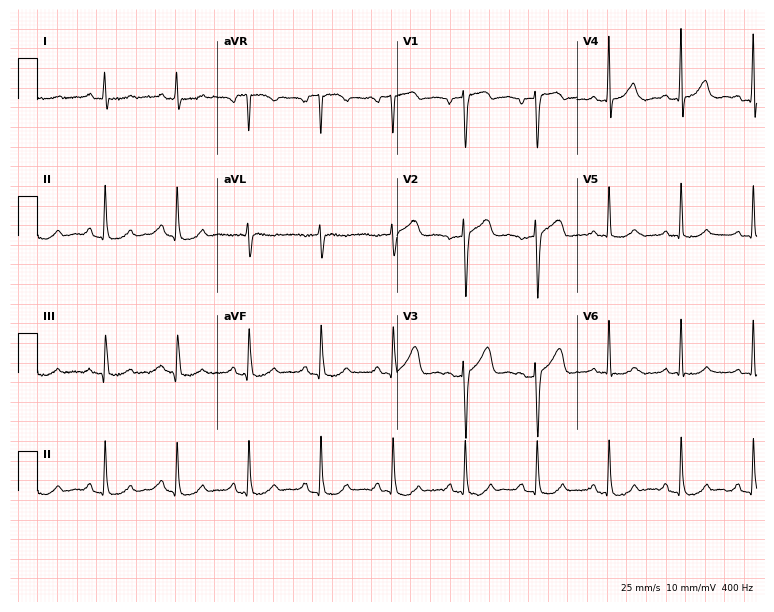
12-lead ECG from an 80-year-old man (7.3-second recording at 400 Hz). Recorded interpretation: within normal limits.